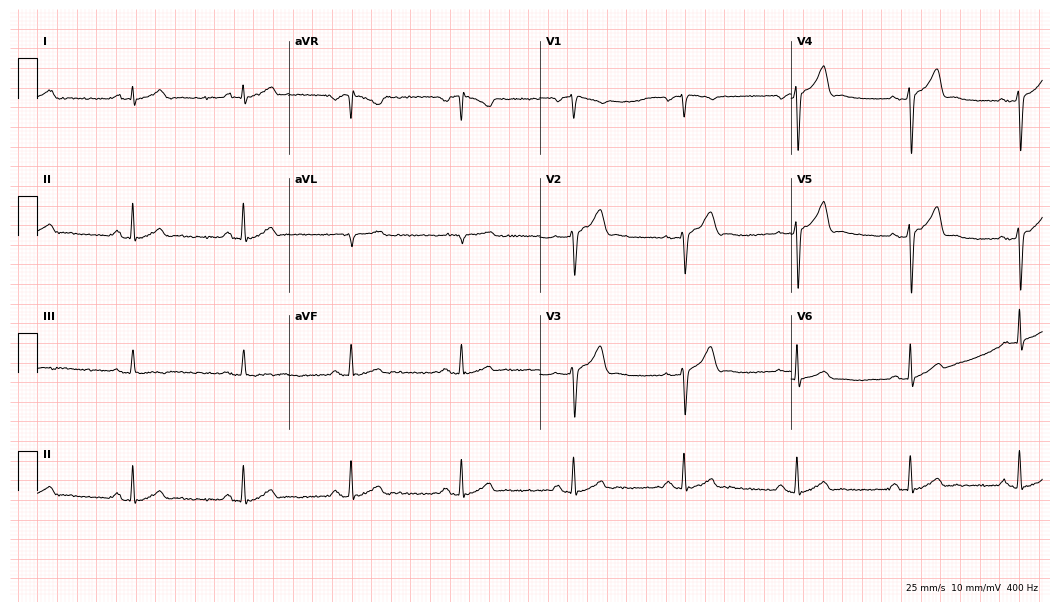
Electrocardiogram, a male patient, 52 years old. Of the six screened findings (first-degree AV block, right bundle branch block, left bundle branch block, sinus bradycardia, atrial fibrillation, sinus tachycardia), none is recorded.